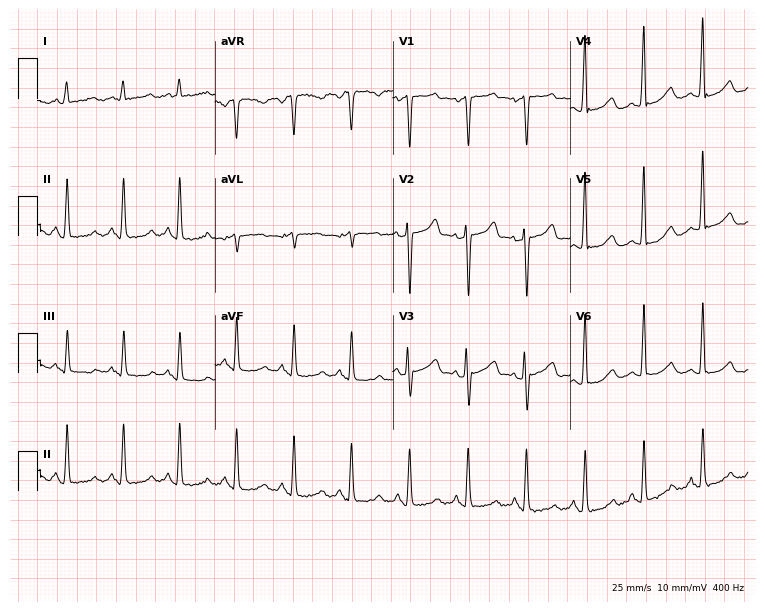
Standard 12-lead ECG recorded from a male, 62 years old (7.2-second recording at 400 Hz). None of these six findings is recorded: first-degree AV block, right bundle branch block, left bundle branch block, sinus bradycardia, atrial fibrillation, sinus tachycardia.